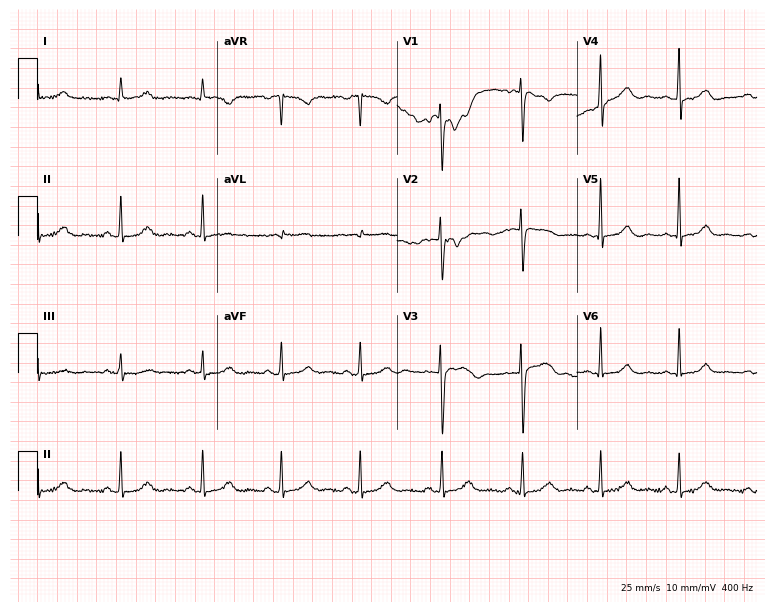
Standard 12-lead ECG recorded from a female patient, 46 years old. None of these six findings is recorded: first-degree AV block, right bundle branch block, left bundle branch block, sinus bradycardia, atrial fibrillation, sinus tachycardia. Other findings, if any, are not listed.